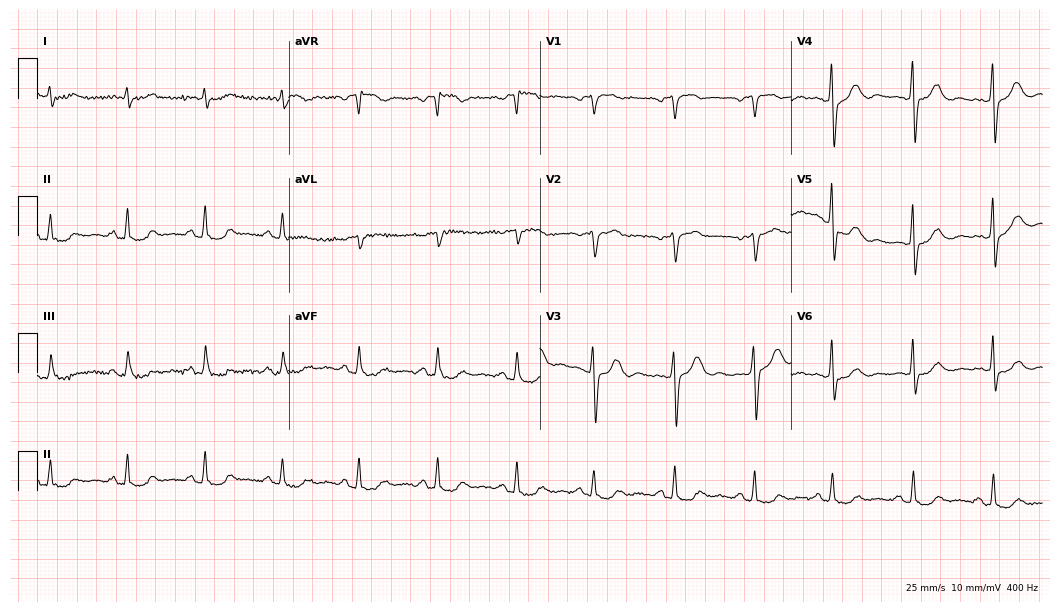
ECG (10.2-second recording at 400 Hz) — an 82-year-old man. Screened for six findings — first-degree AV block, right bundle branch block (RBBB), left bundle branch block (LBBB), sinus bradycardia, atrial fibrillation (AF), sinus tachycardia — none is recorded. Findings outside these six are not listed.